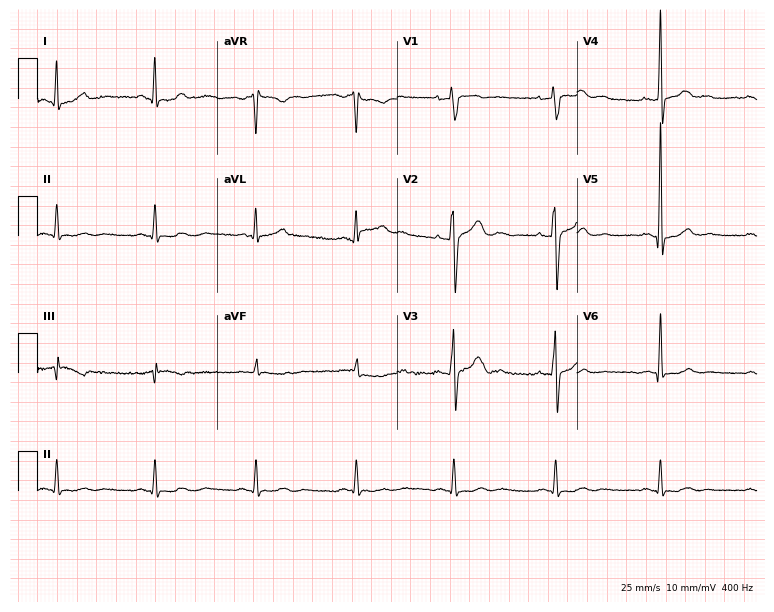
12-lead ECG (7.3-second recording at 400 Hz) from a 48-year-old male. Screened for six findings — first-degree AV block, right bundle branch block, left bundle branch block, sinus bradycardia, atrial fibrillation, sinus tachycardia — none is recorded.